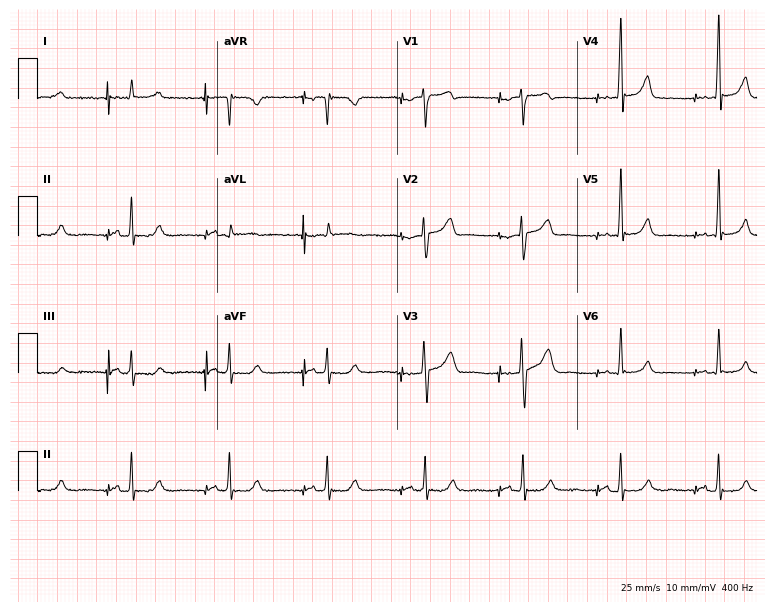
Standard 12-lead ECG recorded from a male patient, 58 years old. None of these six findings is recorded: first-degree AV block, right bundle branch block (RBBB), left bundle branch block (LBBB), sinus bradycardia, atrial fibrillation (AF), sinus tachycardia.